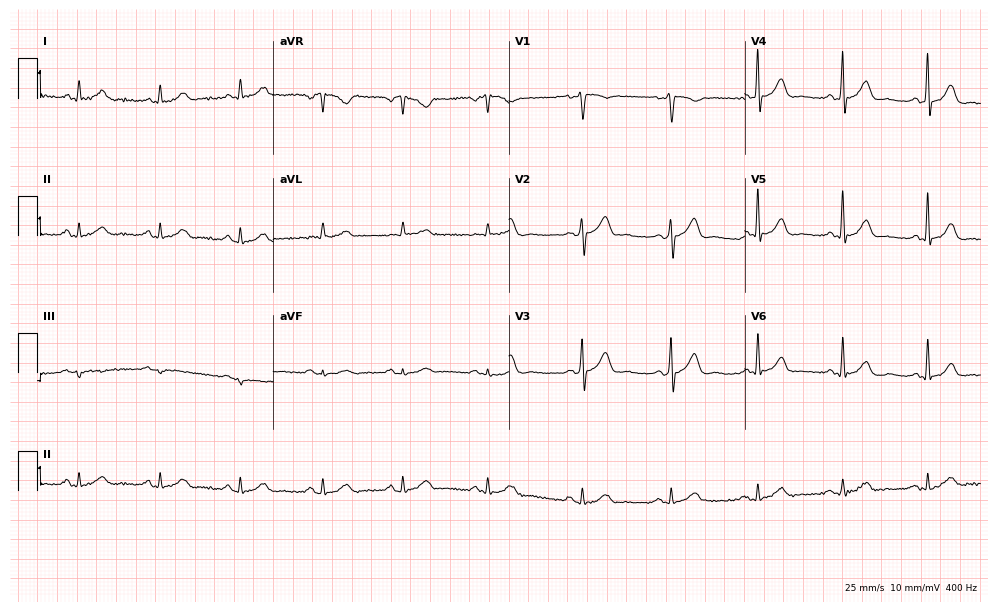
Resting 12-lead electrocardiogram (9.6-second recording at 400 Hz). Patient: a male, 53 years old. Read as a normal ECG.